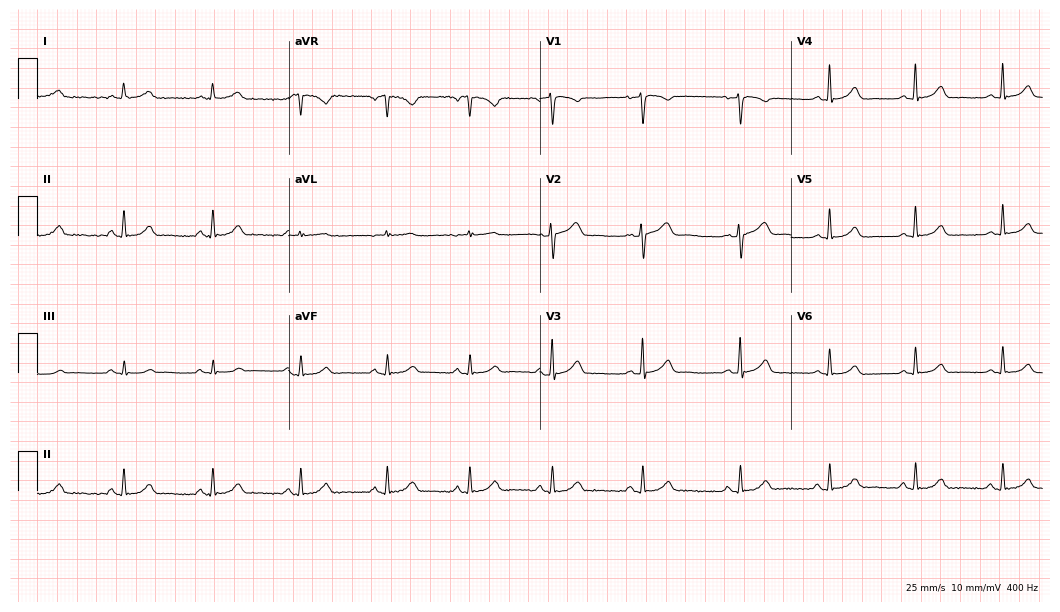
Resting 12-lead electrocardiogram. Patient: a 44-year-old female. Read as a normal ECG.